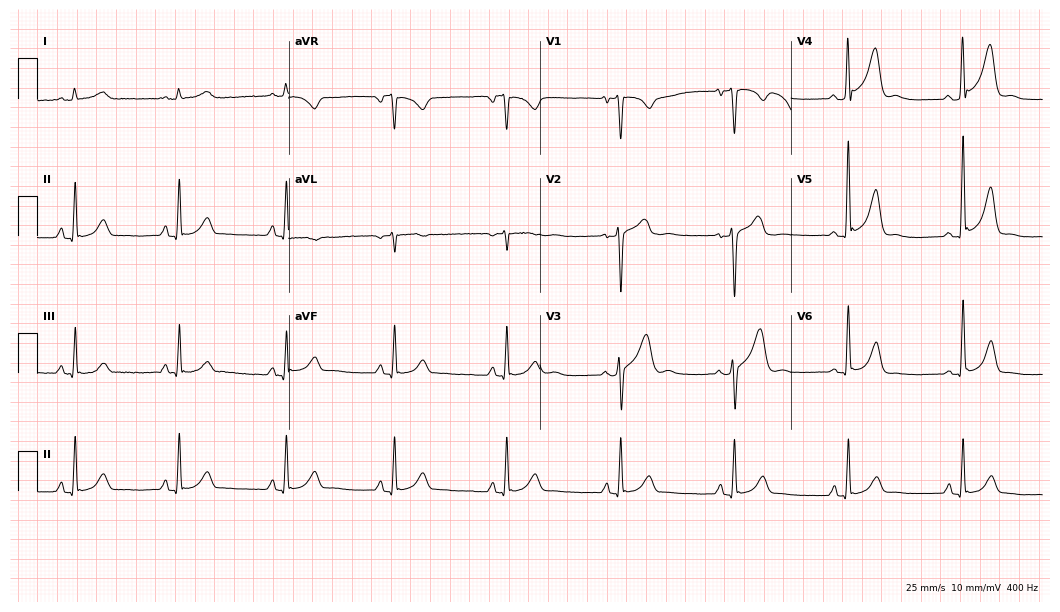
12-lead ECG from a male, 41 years old (10.2-second recording at 400 Hz). No first-degree AV block, right bundle branch block, left bundle branch block, sinus bradycardia, atrial fibrillation or sinus tachycardia recorded for this tracing. Findings outside these six are not listed.